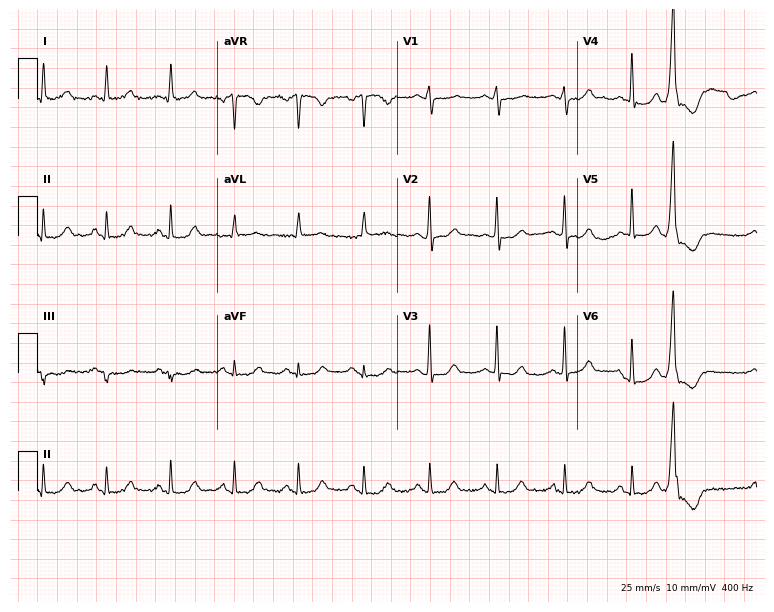
Resting 12-lead electrocardiogram (7.3-second recording at 400 Hz). Patient: a 52-year-old woman. Read as a normal ECG.